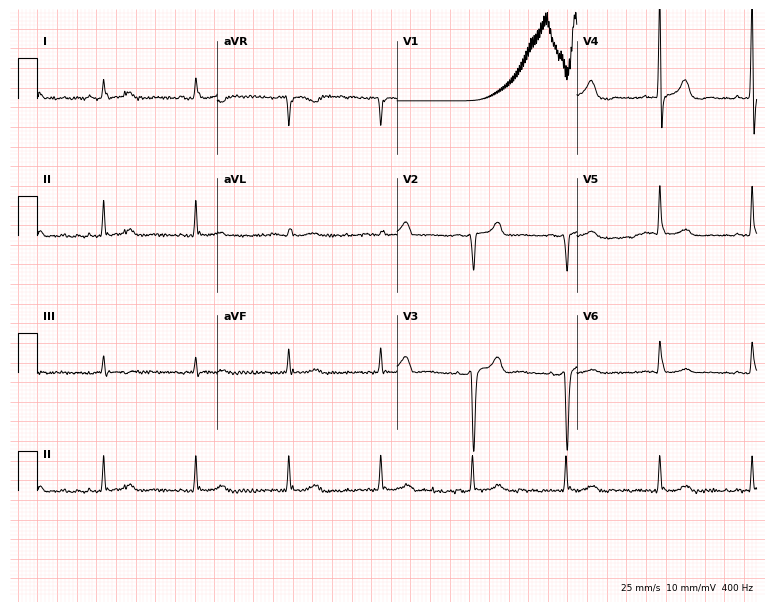
12-lead ECG from a male, 82 years old (7.3-second recording at 400 Hz). No first-degree AV block, right bundle branch block, left bundle branch block, sinus bradycardia, atrial fibrillation or sinus tachycardia recorded for this tracing.